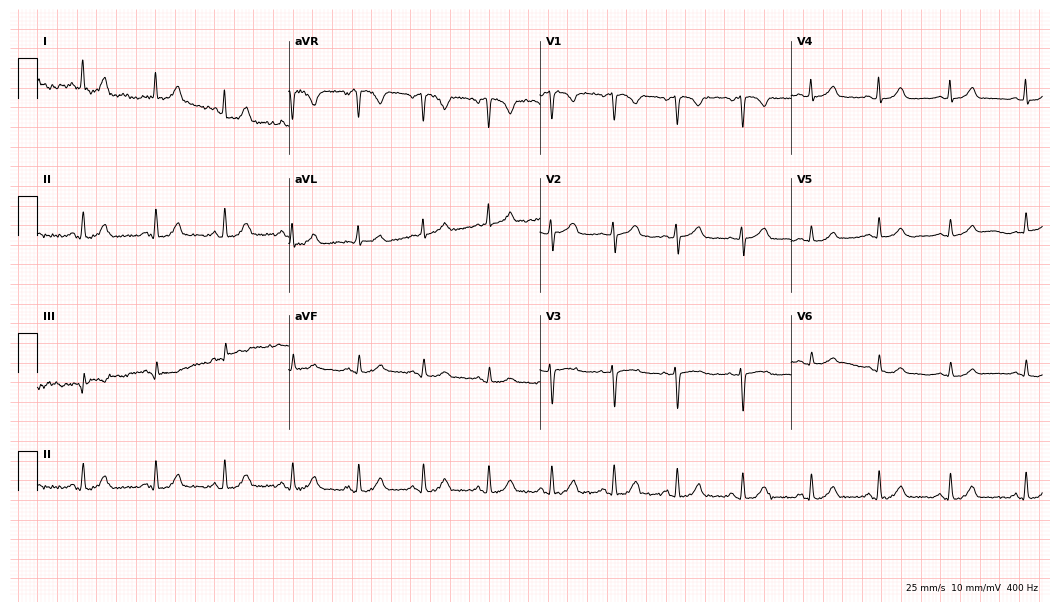
Resting 12-lead electrocardiogram. Patient: a woman, 36 years old. Read as a normal ECG.